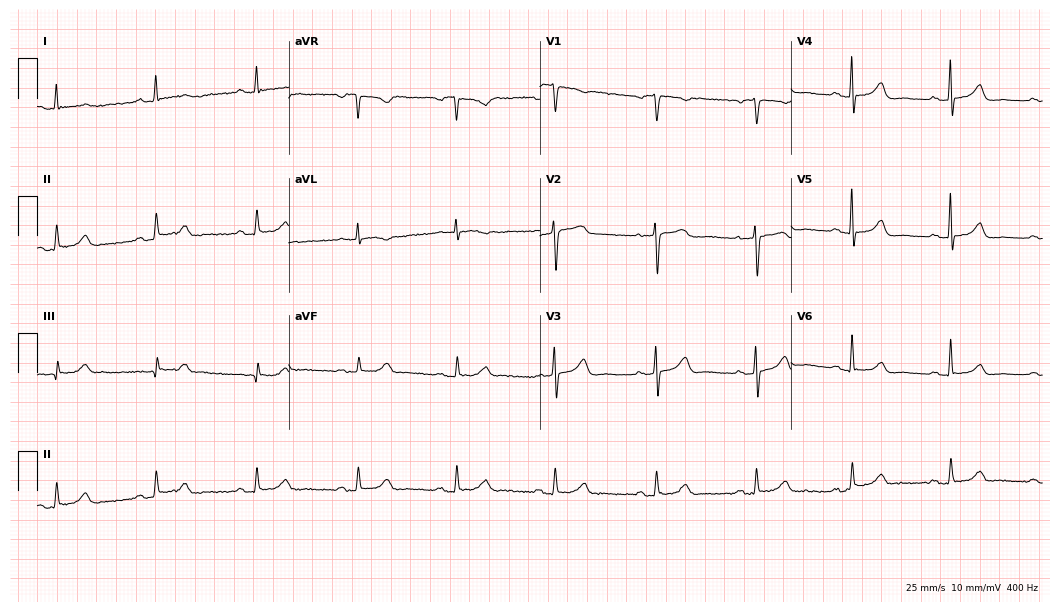
Resting 12-lead electrocardiogram. Patient: an 80-year-old female. None of these six findings is recorded: first-degree AV block, right bundle branch block, left bundle branch block, sinus bradycardia, atrial fibrillation, sinus tachycardia. Other findings, if any, are not listed.